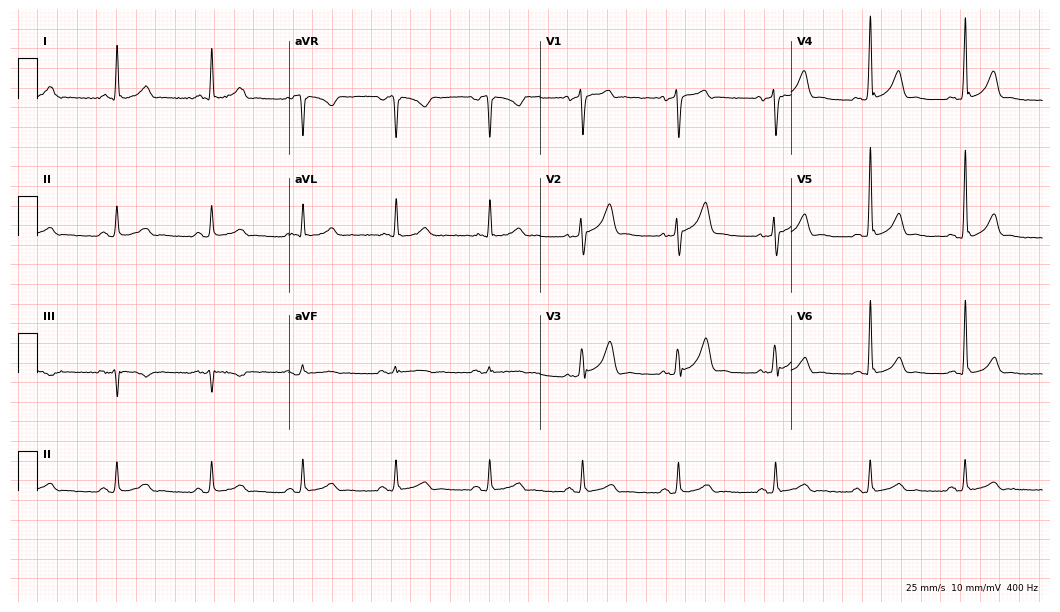
Resting 12-lead electrocardiogram. Patient: a man, 51 years old. Read as a normal ECG.